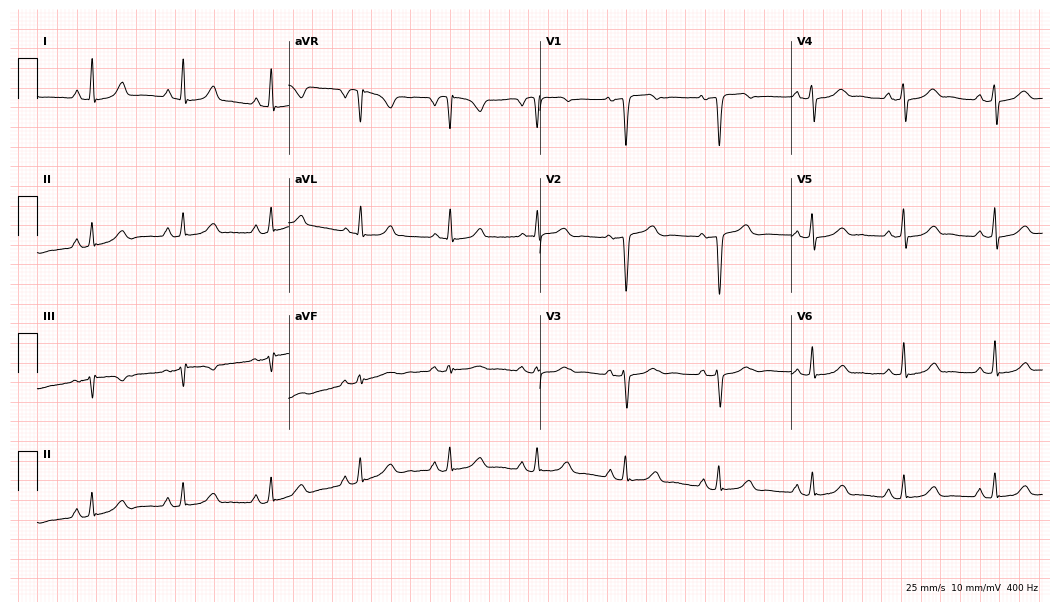
ECG (10.2-second recording at 400 Hz) — a woman, 61 years old. Labelled as a normal ECG.